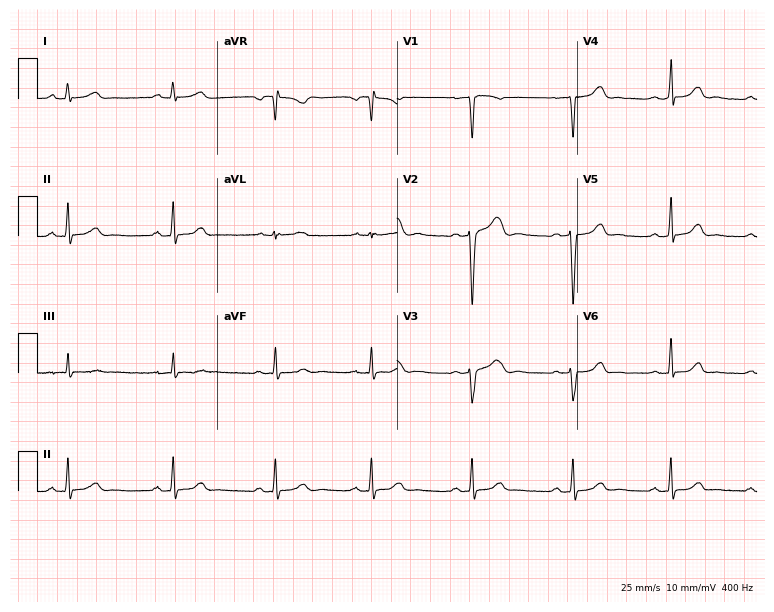
Electrocardiogram (7.3-second recording at 400 Hz), a female patient, 28 years old. Overall reading on record: normal ECG.